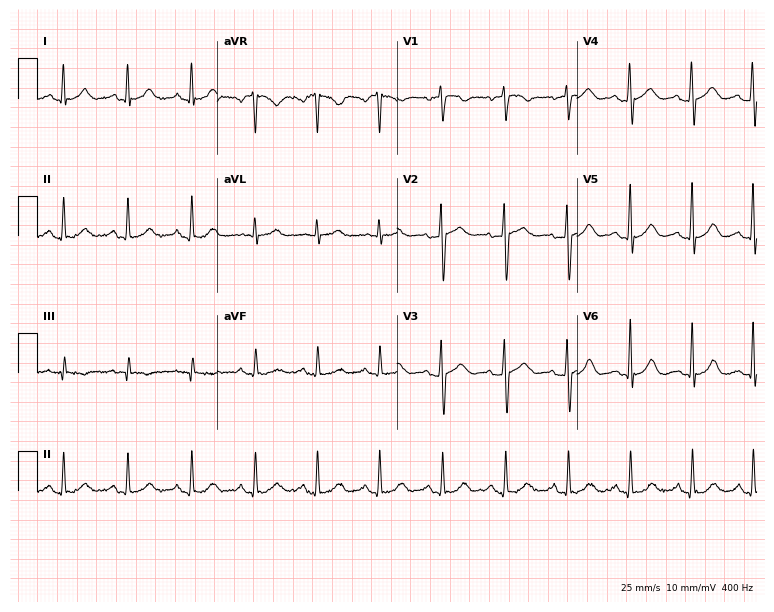
12-lead ECG from a 58-year-old female patient. Labelled as a normal ECG.